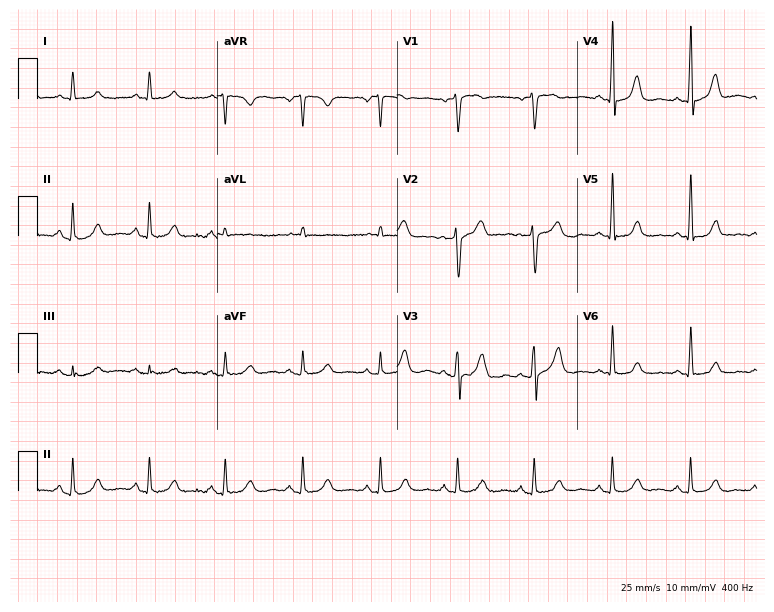
Resting 12-lead electrocardiogram (7.3-second recording at 400 Hz). Patient: a female, 54 years old. None of these six findings is recorded: first-degree AV block, right bundle branch block (RBBB), left bundle branch block (LBBB), sinus bradycardia, atrial fibrillation (AF), sinus tachycardia. Findings outside these six are not listed.